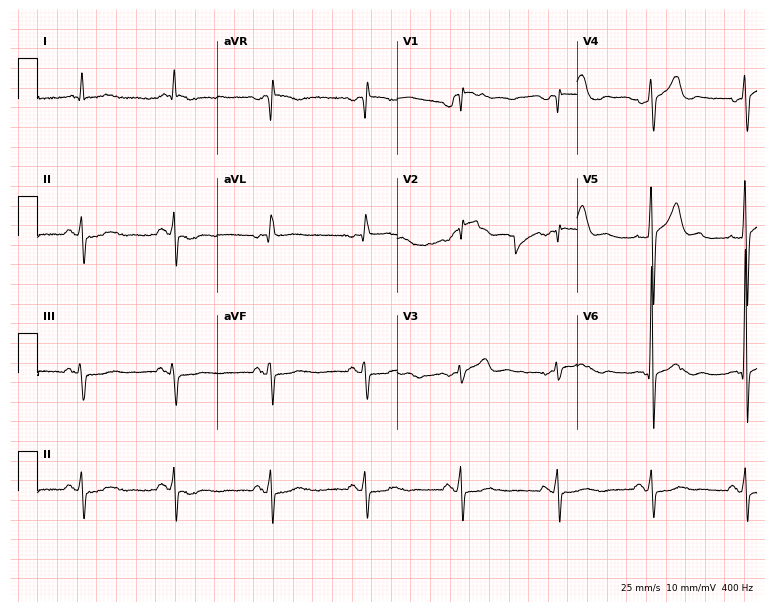
ECG (7.3-second recording at 400 Hz) — a 61-year-old male. Labelled as a normal ECG.